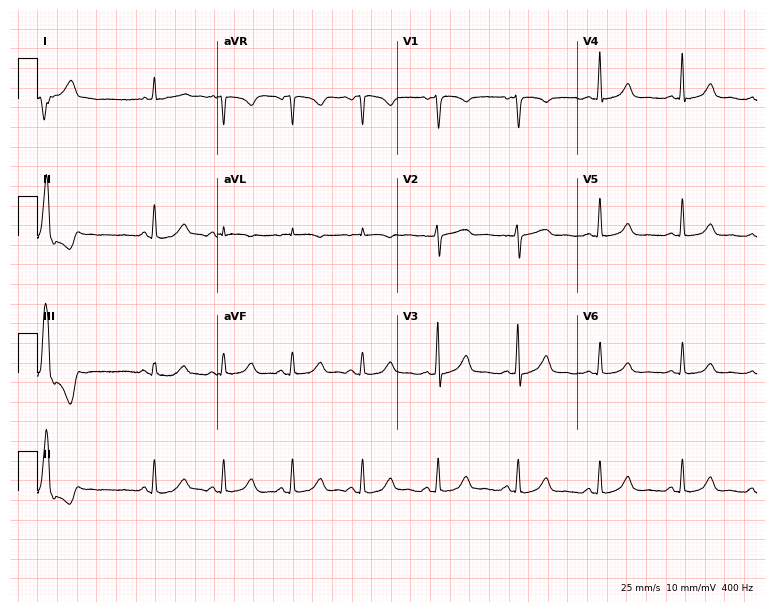
ECG — a 30-year-old female patient. Labelled as a normal ECG.